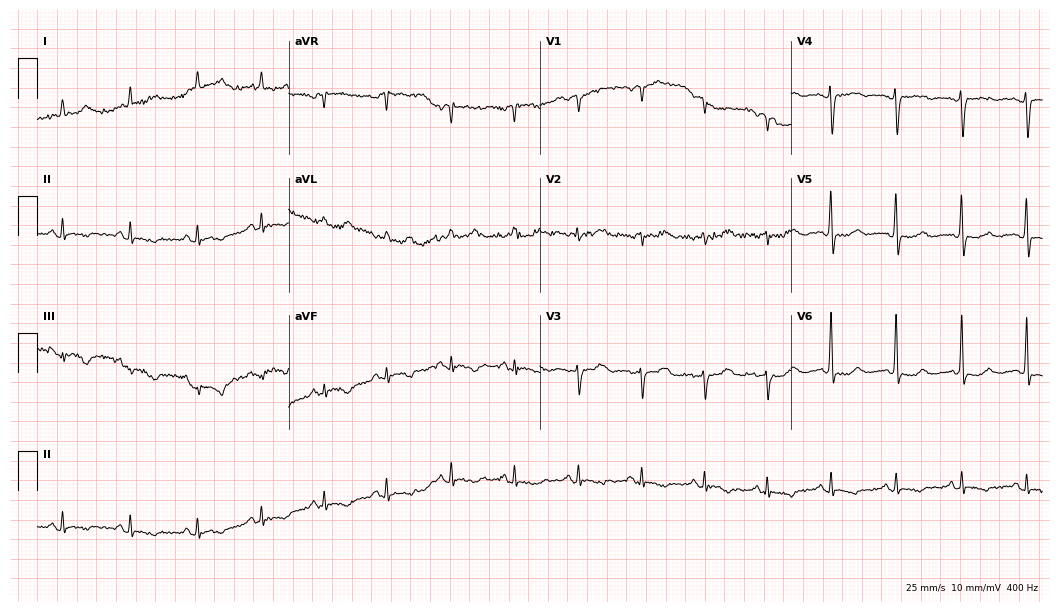
Resting 12-lead electrocardiogram. Patient: a 71-year-old female. None of these six findings is recorded: first-degree AV block, right bundle branch block, left bundle branch block, sinus bradycardia, atrial fibrillation, sinus tachycardia. Other findings, if any, are not listed.